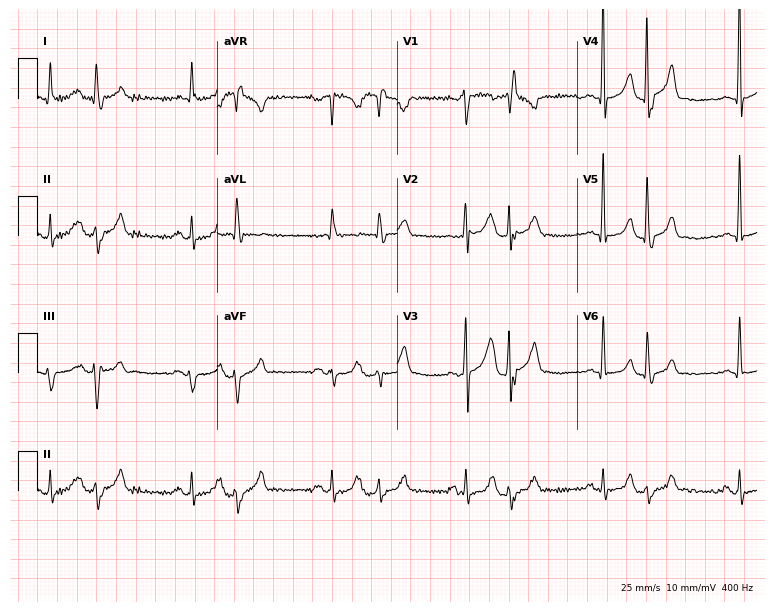
12-lead ECG from a 74-year-old man (7.3-second recording at 400 Hz). No first-degree AV block, right bundle branch block, left bundle branch block, sinus bradycardia, atrial fibrillation or sinus tachycardia recorded for this tracing.